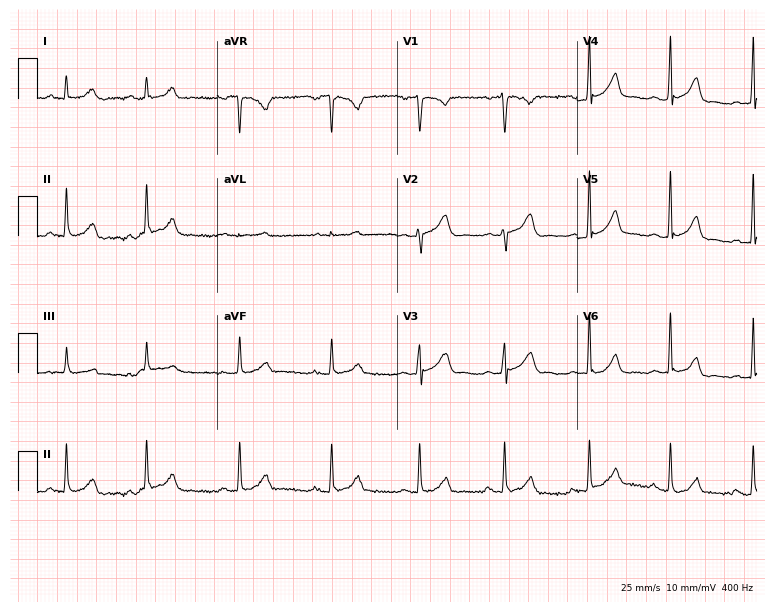
Standard 12-lead ECG recorded from a female, 19 years old. Read as a normal ECG.